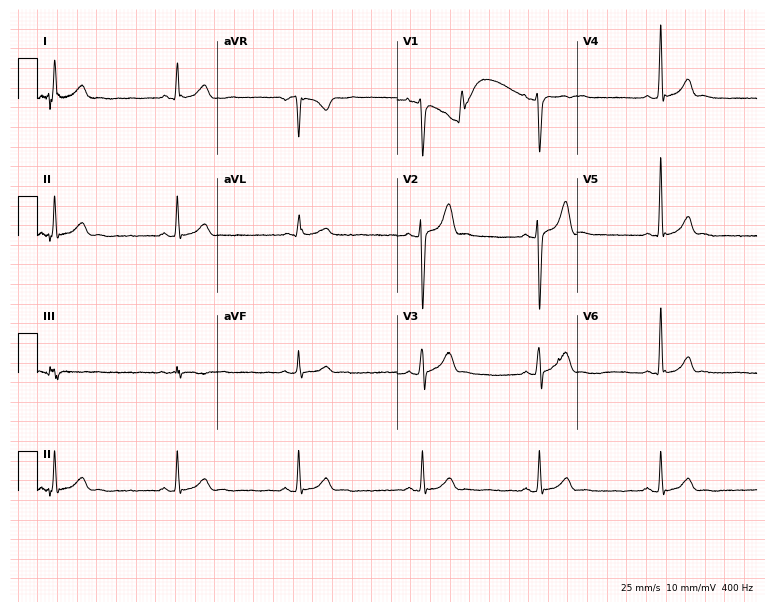
ECG — a male, 26 years old. Findings include sinus bradycardia (a sinus rate of 50 beats per minute or less).